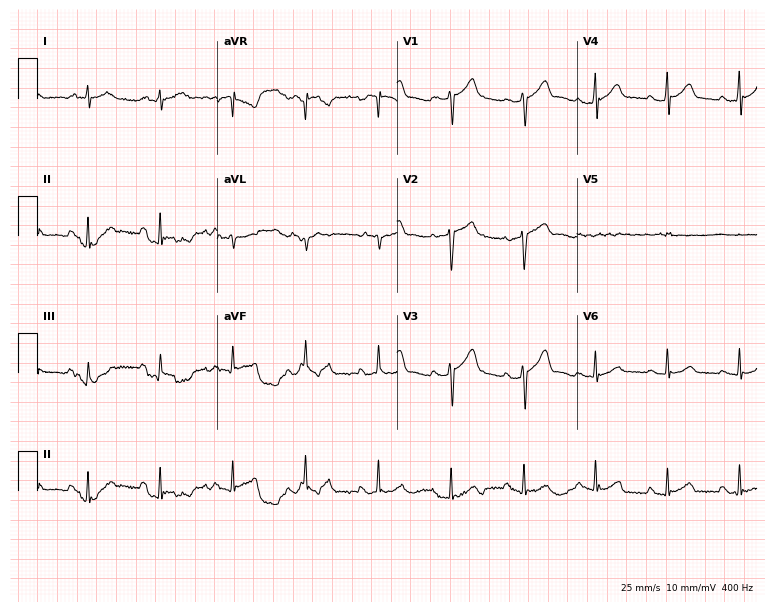
Standard 12-lead ECG recorded from a 61-year-old male patient (7.3-second recording at 400 Hz). None of these six findings is recorded: first-degree AV block, right bundle branch block, left bundle branch block, sinus bradycardia, atrial fibrillation, sinus tachycardia. Findings outside these six are not listed.